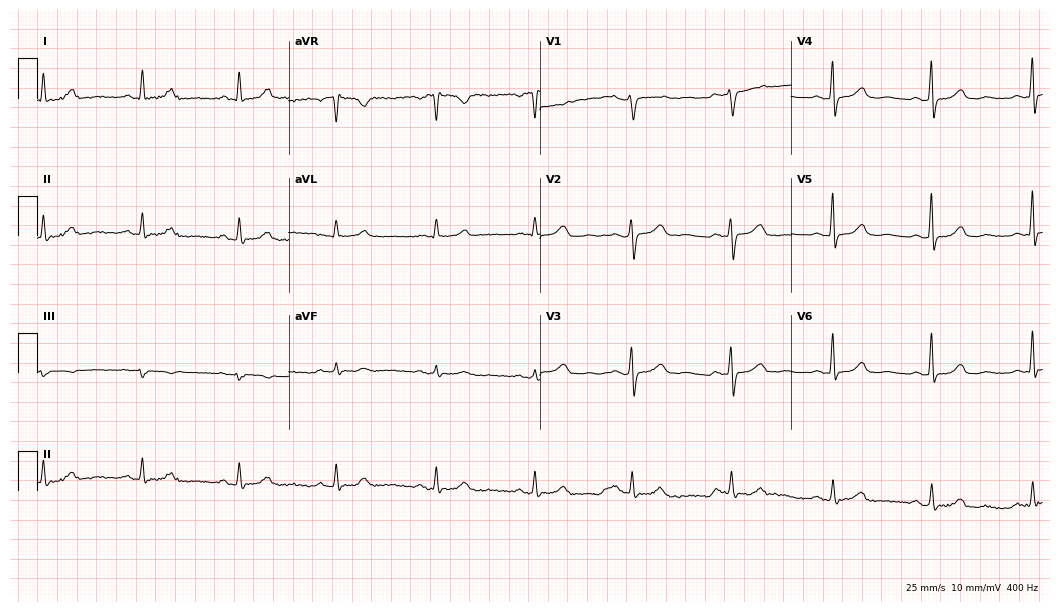
12-lead ECG from a woman, 72 years old. Recorded interpretation: within normal limits.